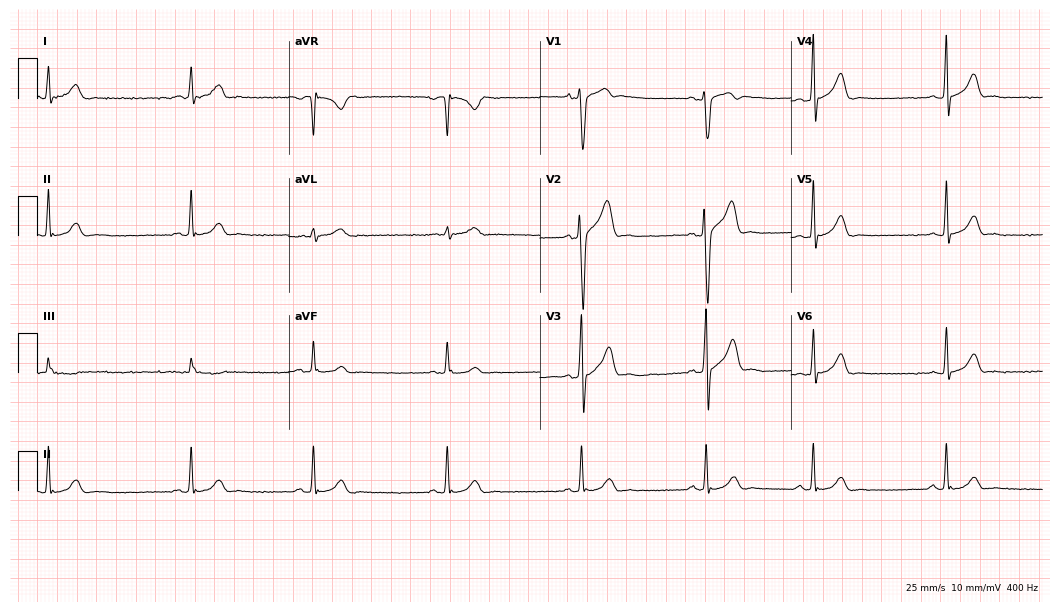
Resting 12-lead electrocardiogram. Patient: a man, 25 years old. Read as a normal ECG.